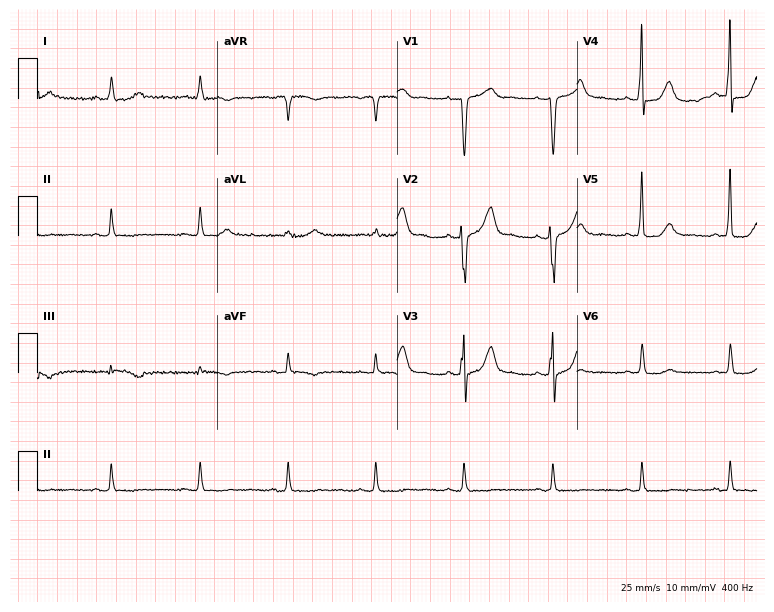
Electrocardiogram (7.3-second recording at 400 Hz), a man, 78 years old. Of the six screened findings (first-degree AV block, right bundle branch block, left bundle branch block, sinus bradycardia, atrial fibrillation, sinus tachycardia), none is recorded.